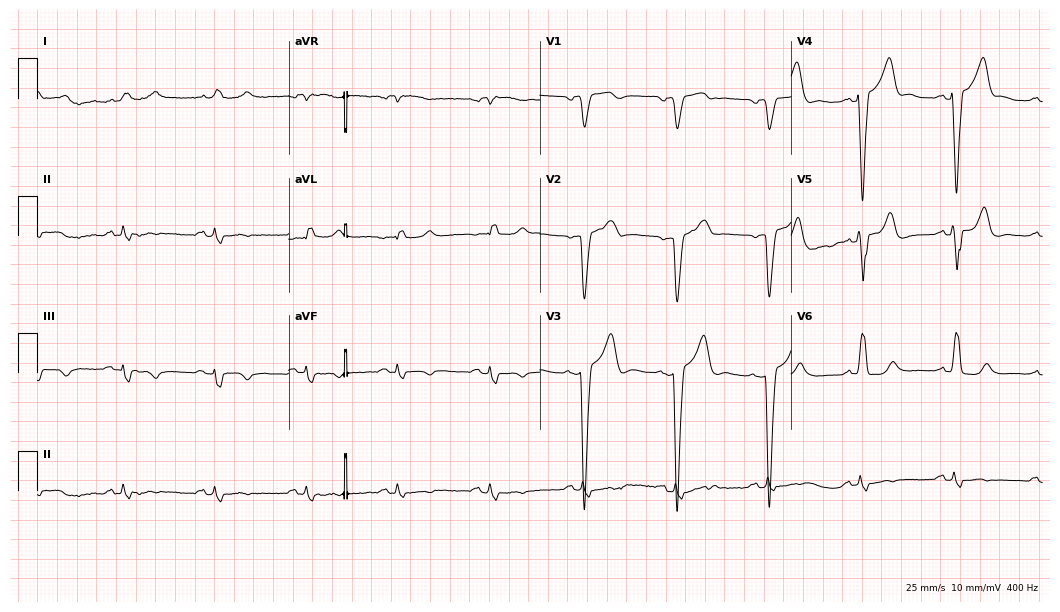
Standard 12-lead ECG recorded from an 80-year-old man. The tracing shows left bundle branch block.